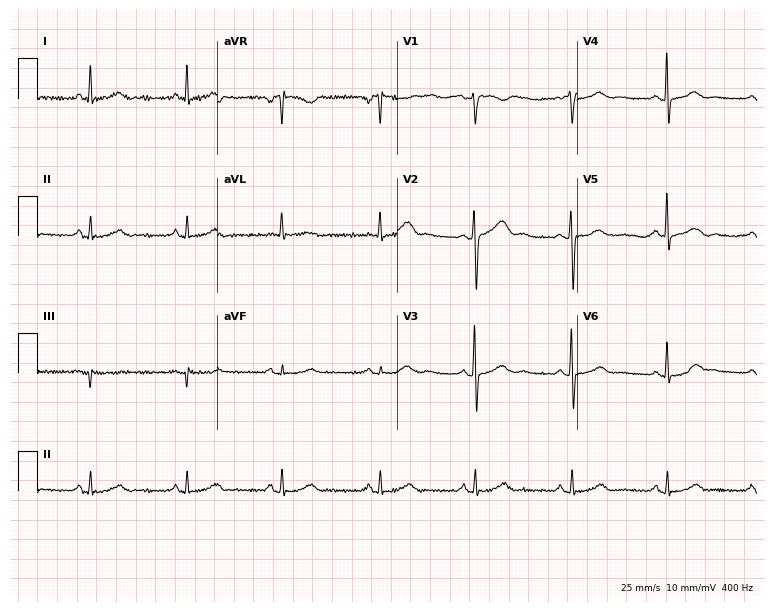
ECG (7.3-second recording at 400 Hz) — a female, 65 years old. Labelled as a normal ECG.